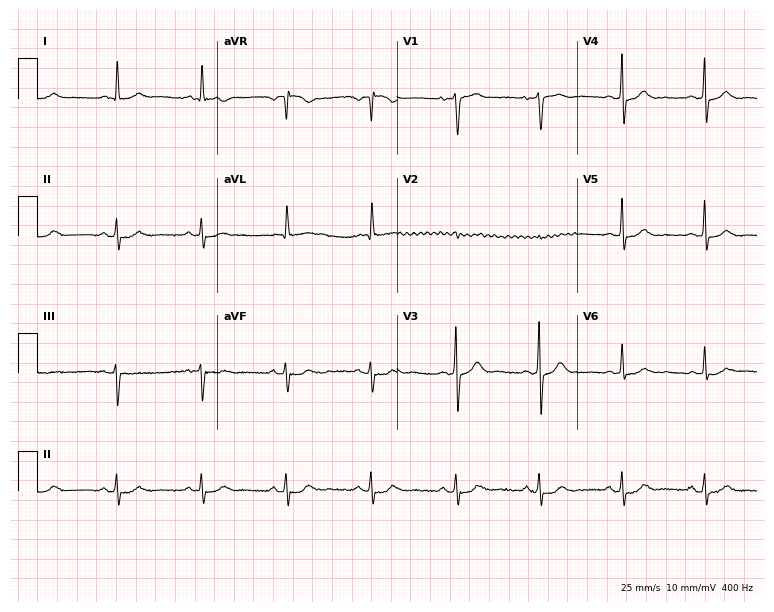
12-lead ECG from a 70-year-old male patient. Labelled as a normal ECG.